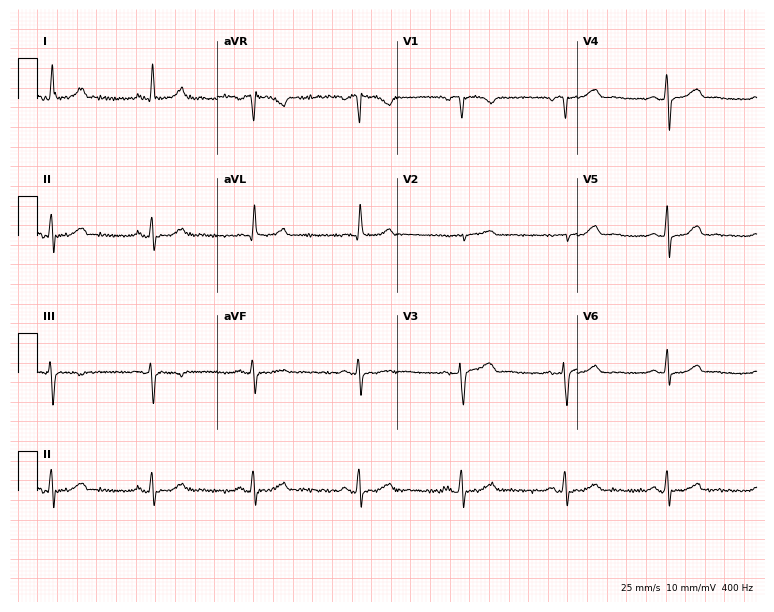
Standard 12-lead ECG recorded from a 71-year-old female. None of these six findings is recorded: first-degree AV block, right bundle branch block (RBBB), left bundle branch block (LBBB), sinus bradycardia, atrial fibrillation (AF), sinus tachycardia.